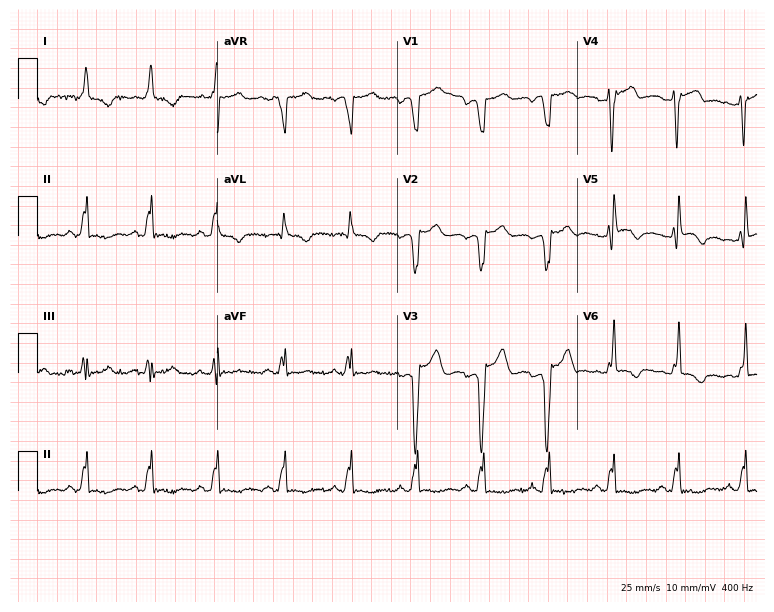
ECG (7.3-second recording at 400 Hz) — a 65-year-old female. Screened for six findings — first-degree AV block, right bundle branch block (RBBB), left bundle branch block (LBBB), sinus bradycardia, atrial fibrillation (AF), sinus tachycardia — none is recorded.